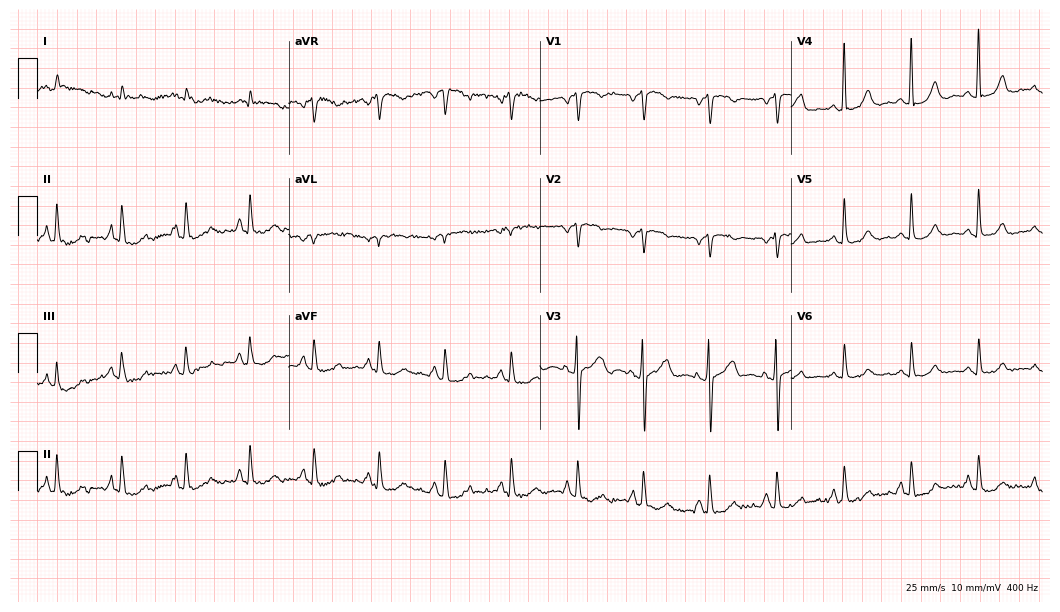
Standard 12-lead ECG recorded from a 70-year-old male (10.2-second recording at 400 Hz). None of these six findings is recorded: first-degree AV block, right bundle branch block, left bundle branch block, sinus bradycardia, atrial fibrillation, sinus tachycardia.